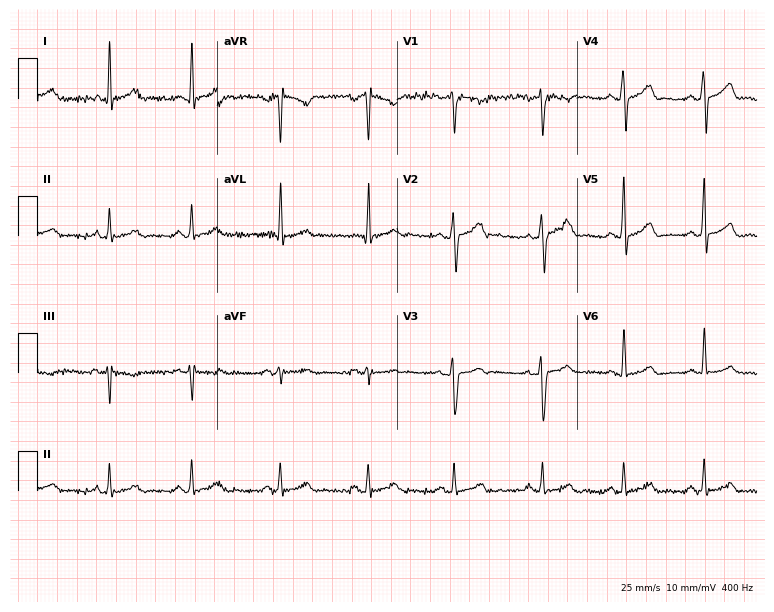
12-lead ECG (7.3-second recording at 400 Hz) from a 37-year-old male. Labelled as a normal ECG.